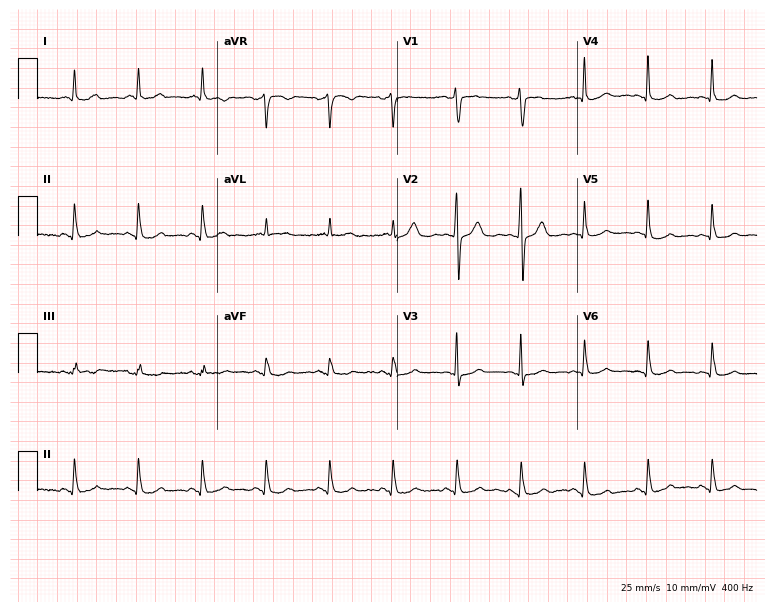
ECG — a 68-year-old female. Screened for six findings — first-degree AV block, right bundle branch block, left bundle branch block, sinus bradycardia, atrial fibrillation, sinus tachycardia — none is recorded.